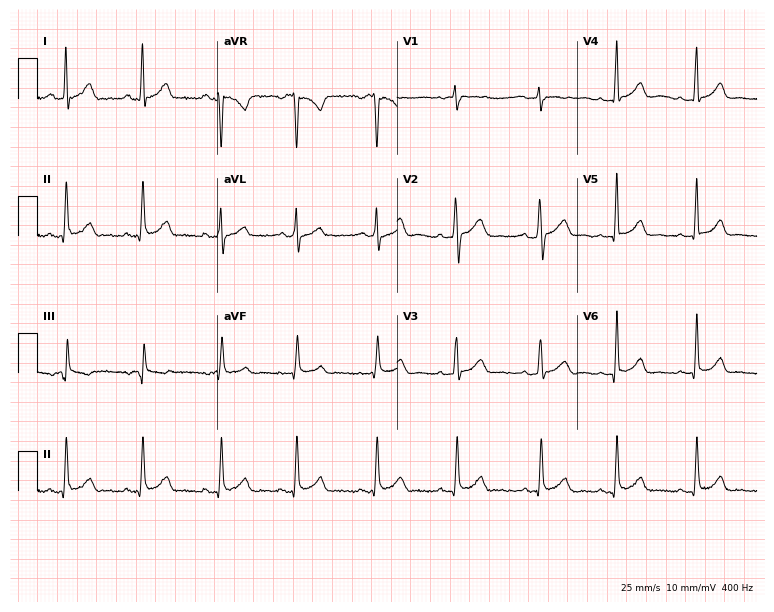
12-lead ECG (7.3-second recording at 400 Hz) from a female patient, 31 years old. Screened for six findings — first-degree AV block, right bundle branch block, left bundle branch block, sinus bradycardia, atrial fibrillation, sinus tachycardia — none is recorded. Findings outside these six are not listed.